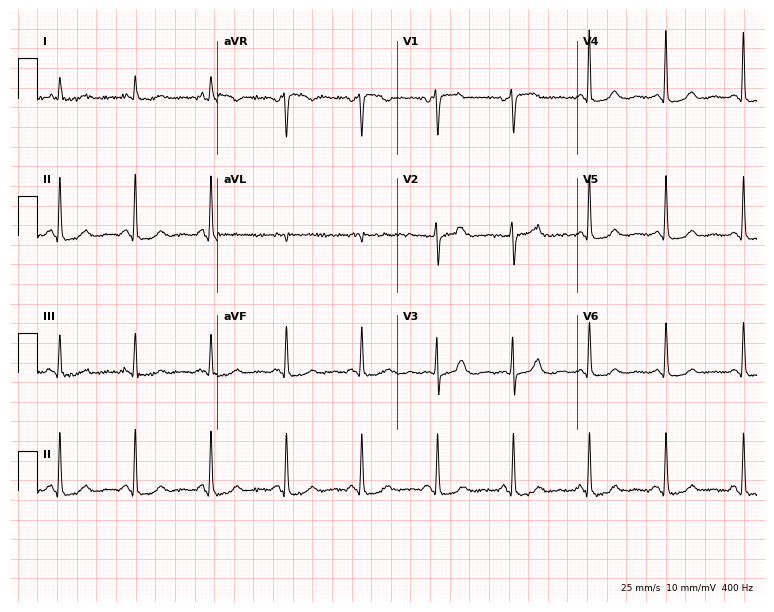
Standard 12-lead ECG recorded from a female, 67 years old. None of these six findings is recorded: first-degree AV block, right bundle branch block, left bundle branch block, sinus bradycardia, atrial fibrillation, sinus tachycardia.